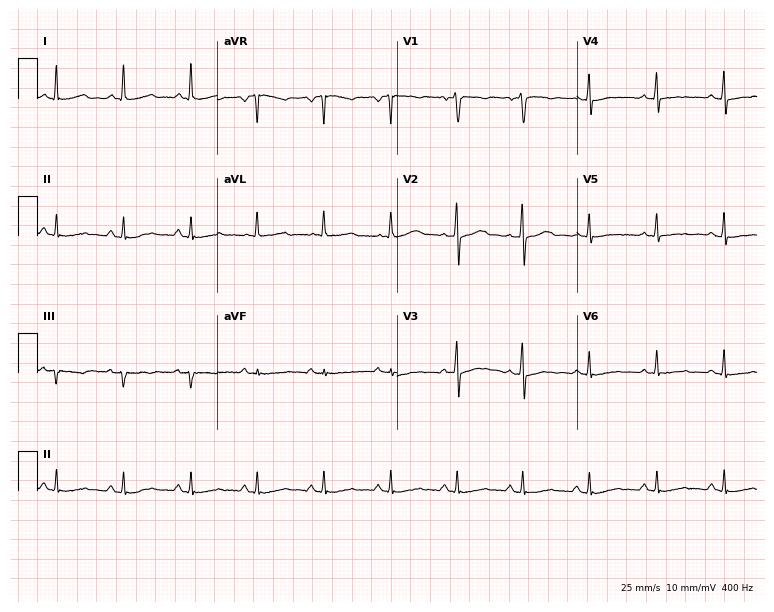
12-lead ECG from a 60-year-old male patient (7.3-second recording at 400 Hz). No first-degree AV block, right bundle branch block, left bundle branch block, sinus bradycardia, atrial fibrillation or sinus tachycardia recorded for this tracing.